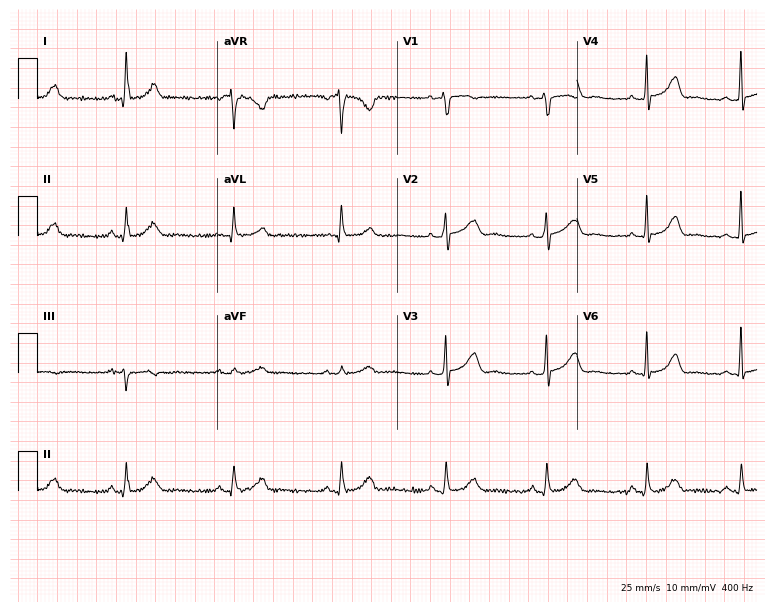
12-lead ECG from a female patient, 43 years old (7.3-second recording at 400 Hz). No first-degree AV block, right bundle branch block (RBBB), left bundle branch block (LBBB), sinus bradycardia, atrial fibrillation (AF) or sinus tachycardia recorded for this tracing. Only these six findings were labelled.